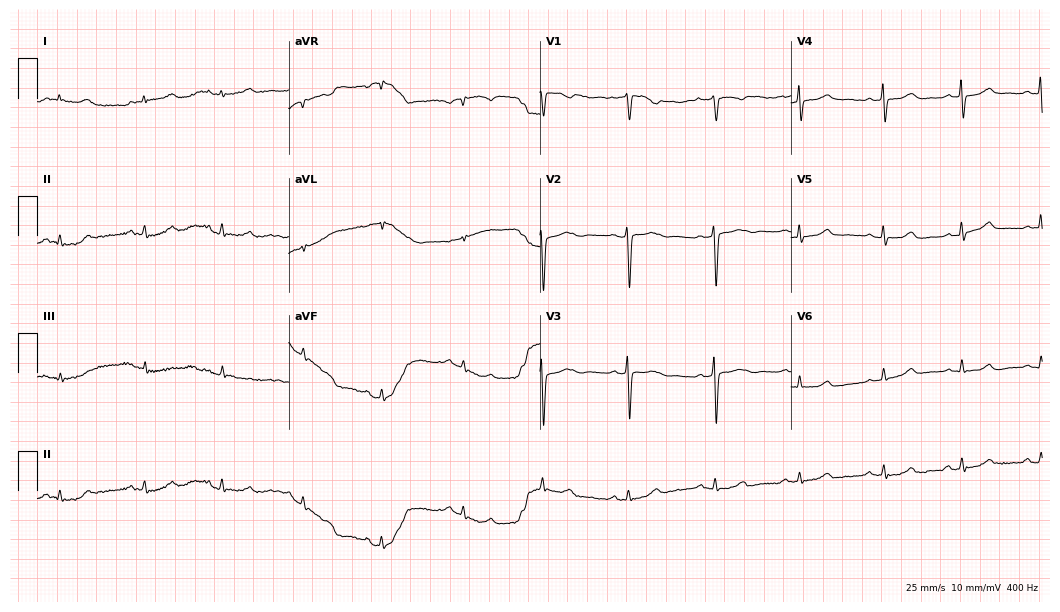
ECG (10.2-second recording at 400 Hz) — a 43-year-old female patient. Labelled as a normal ECG.